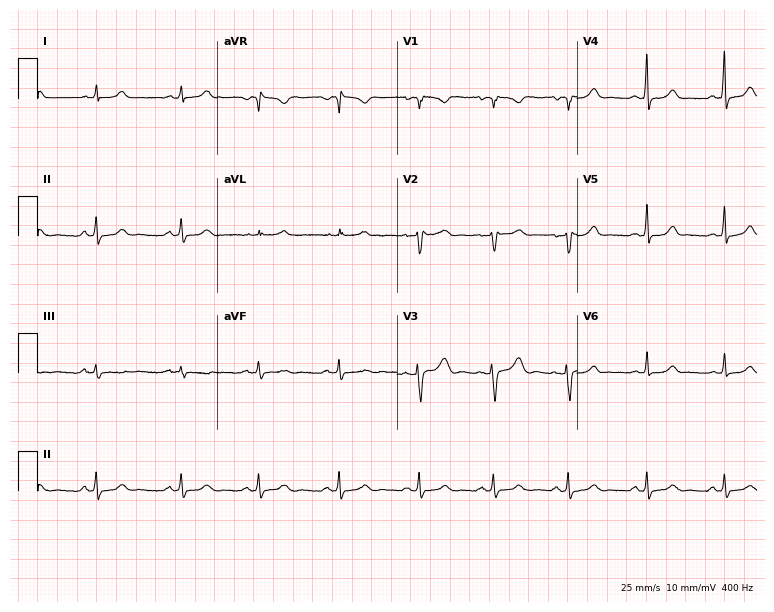
12-lead ECG (7.3-second recording at 400 Hz) from a 22-year-old female. Labelled as a normal ECG.